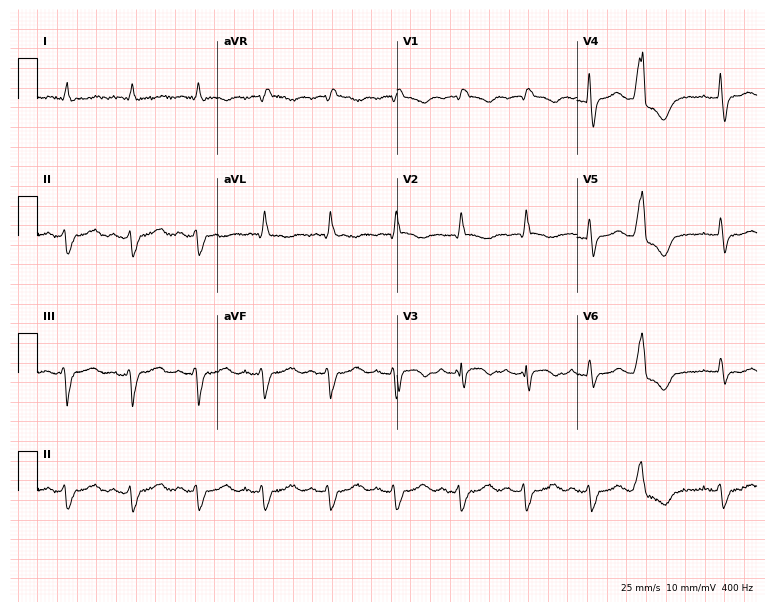
Electrocardiogram (7.3-second recording at 400 Hz), a 57-year-old female patient. Interpretation includes right bundle branch block (RBBB).